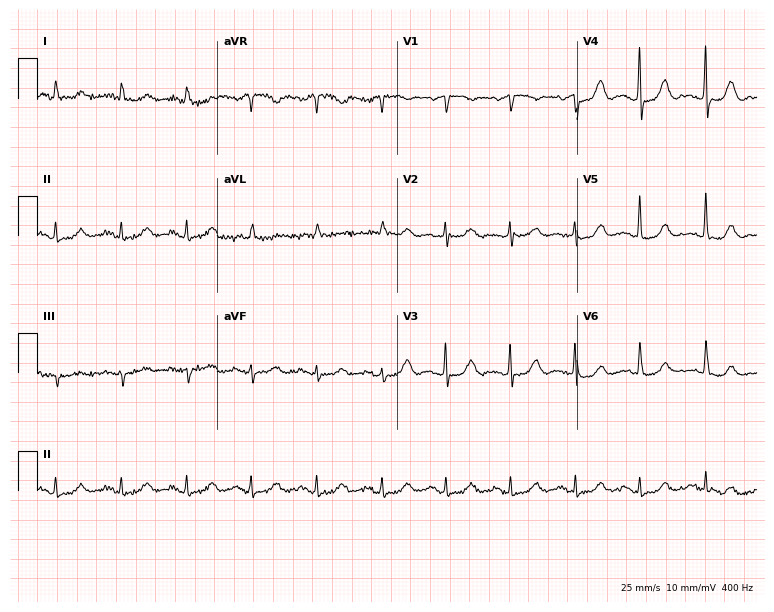
Standard 12-lead ECG recorded from a 77-year-old woman (7.3-second recording at 400 Hz). Read as a normal ECG.